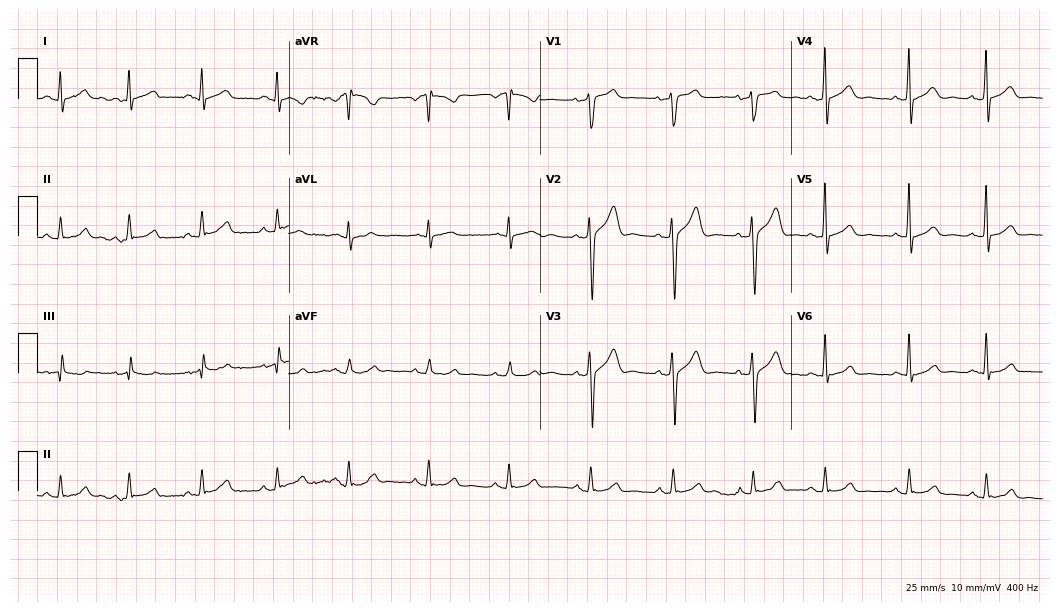
ECG (10.2-second recording at 400 Hz) — a 49-year-old man. Labelled as a normal ECG.